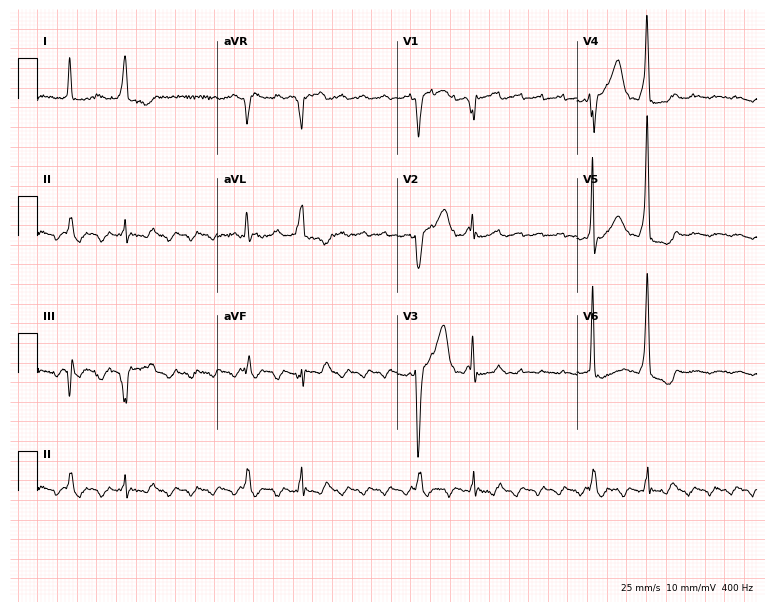
12-lead ECG from a man, 66 years old (7.3-second recording at 400 Hz). No first-degree AV block, right bundle branch block, left bundle branch block, sinus bradycardia, atrial fibrillation or sinus tachycardia recorded for this tracing. Only these six findings were labelled.